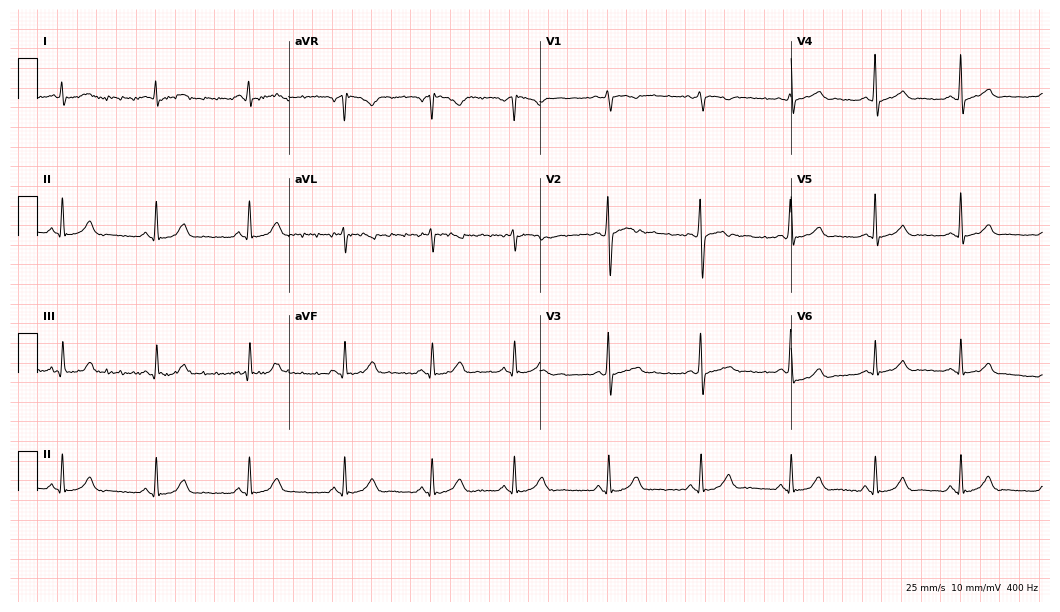
Resting 12-lead electrocardiogram (10.2-second recording at 400 Hz). Patient: a 39-year-old woman. Read as a normal ECG.